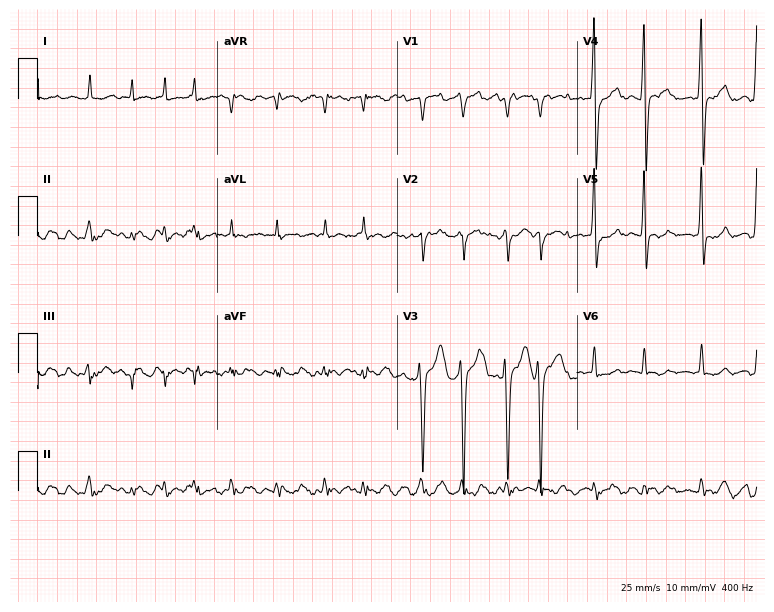
ECG (7.3-second recording at 400 Hz) — a male, 71 years old. Findings include atrial fibrillation.